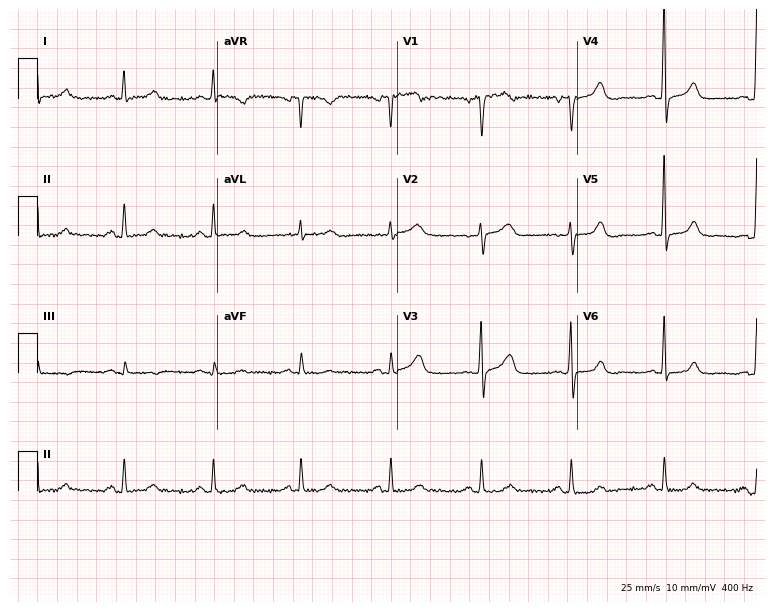
ECG — a 75-year-old male patient. Screened for six findings — first-degree AV block, right bundle branch block, left bundle branch block, sinus bradycardia, atrial fibrillation, sinus tachycardia — none is recorded.